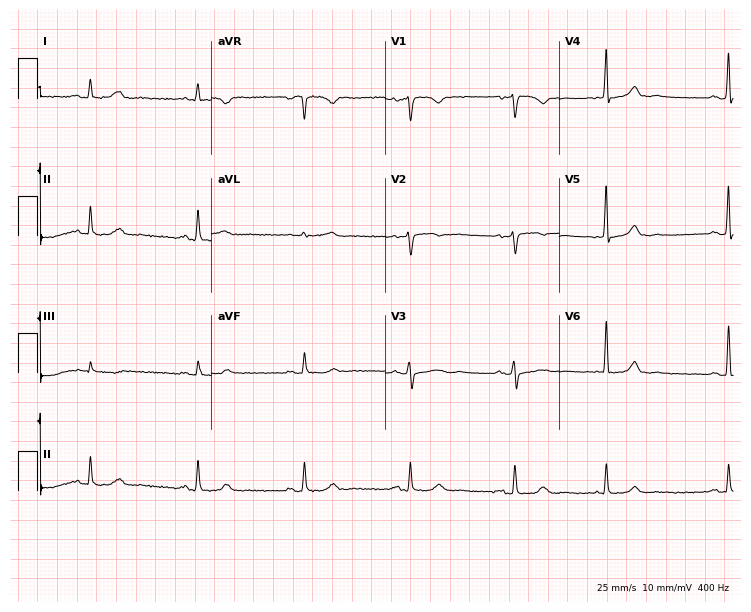
12-lead ECG from a female, 73 years old. No first-degree AV block, right bundle branch block (RBBB), left bundle branch block (LBBB), sinus bradycardia, atrial fibrillation (AF) or sinus tachycardia recorded for this tracing. Findings outside these six are not listed.